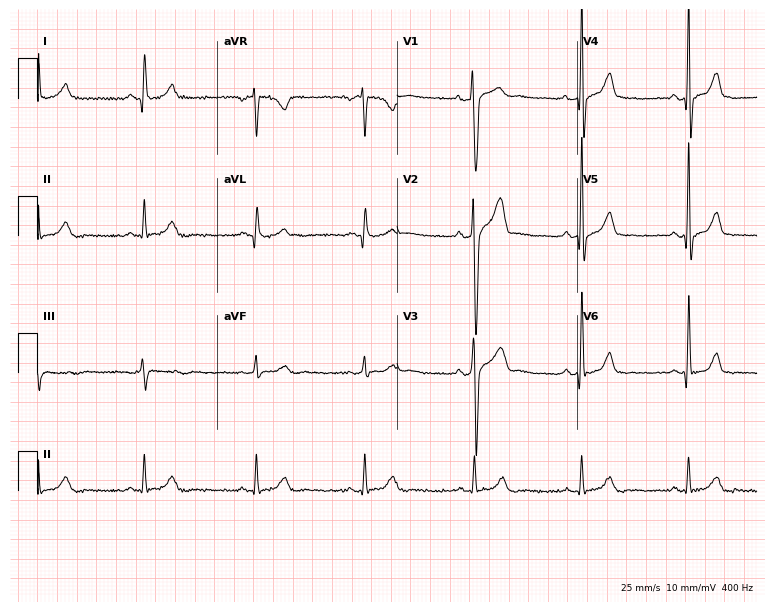
Resting 12-lead electrocardiogram (7.3-second recording at 400 Hz). Patient: a 36-year-old male. None of these six findings is recorded: first-degree AV block, right bundle branch block, left bundle branch block, sinus bradycardia, atrial fibrillation, sinus tachycardia.